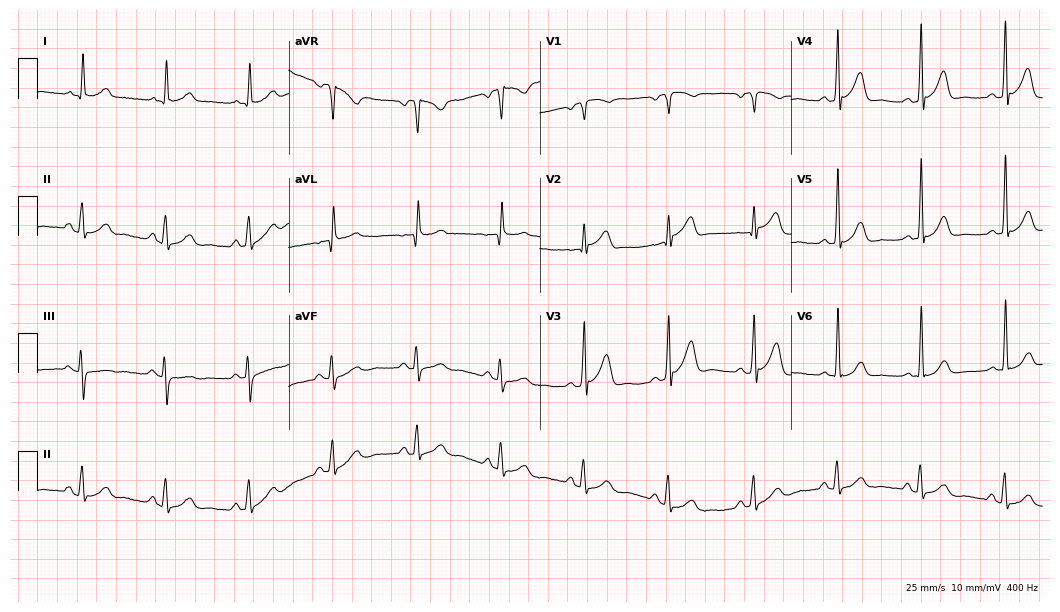
Standard 12-lead ECG recorded from a 66-year-old man (10.2-second recording at 400 Hz). Read as a normal ECG.